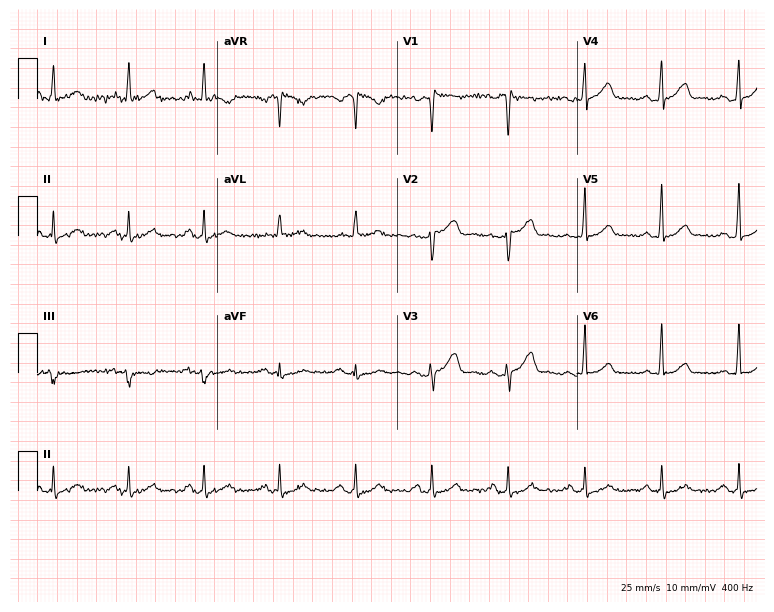
Electrocardiogram (7.3-second recording at 400 Hz), a male, 58 years old. Of the six screened findings (first-degree AV block, right bundle branch block (RBBB), left bundle branch block (LBBB), sinus bradycardia, atrial fibrillation (AF), sinus tachycardia), none is recorded. Only these six findings were labelled.